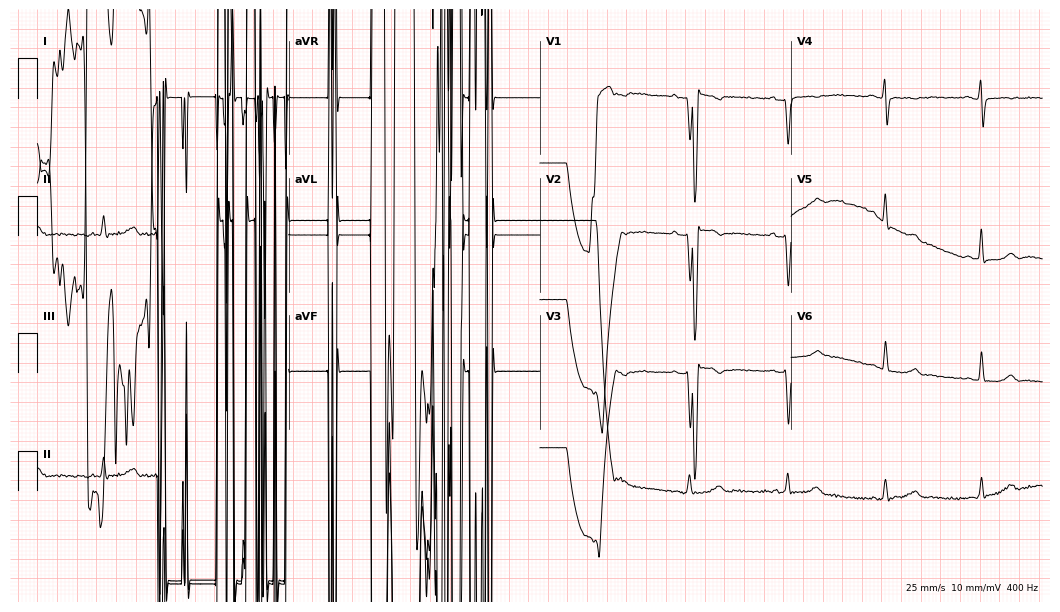
Standard 12-lead ECG recorded from a female patient, 43 years old (10.2-second recording at 400 Hz). None of these six findings is recorded: first-degree AV block, right bundle branch block, left bundle branch block, sinus bradycardia, atrial fibrillation, sinus tachycardia.